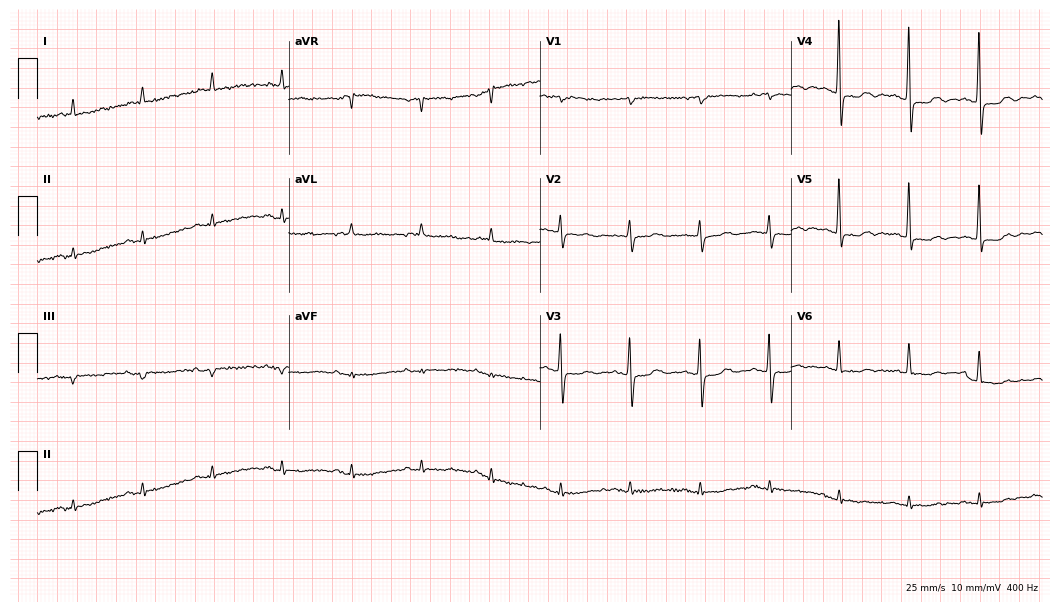
Resting 12-lead electrocardiogram. Patient: a woman, 85 years old. None of these six findings is recorded: first-degree AV block, right bundle branch block, left bundle branch block, sinus bradycardia, atrial fibrillation, sinus tachycardia. Findings outside these six are not listed.